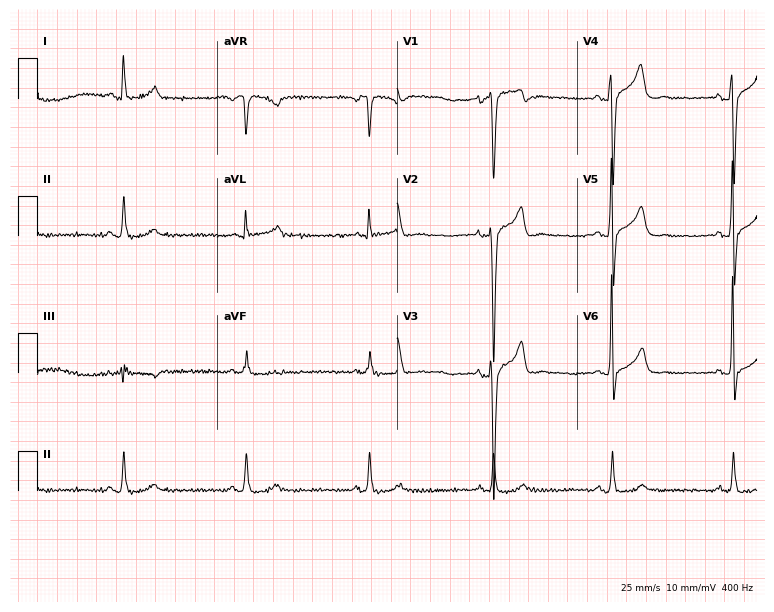
12-lead ECG from a male, 59 years old (7.3-second recording at 400 Hz). Shows sinus bradycardia (a sinus rate of 50 beats per minute or less).